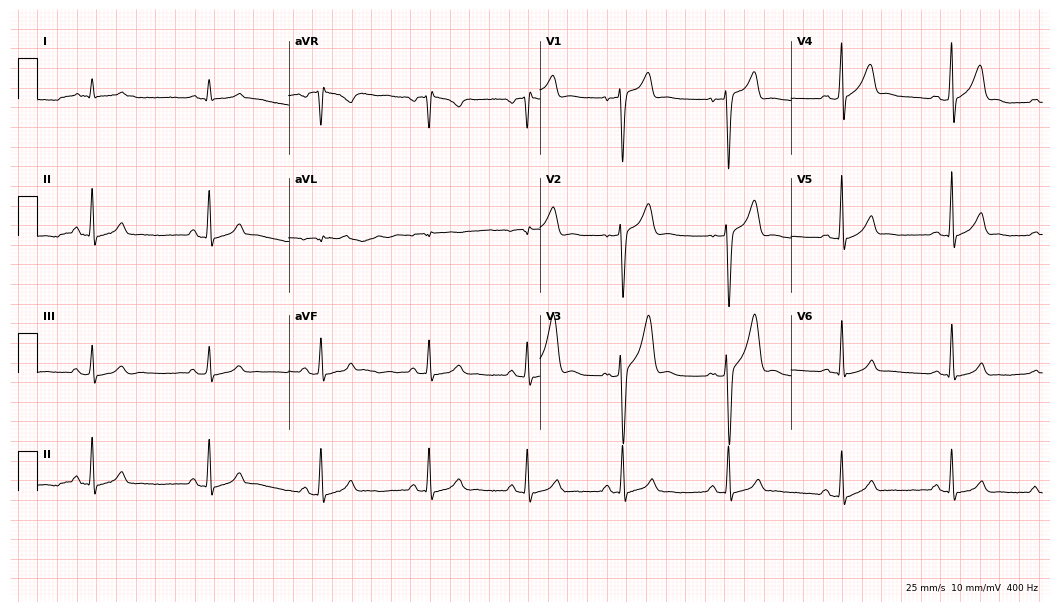
ECG (10.2-second recording at 400 Hz) — a 27-year-old male. Labelled as a normal ECG.